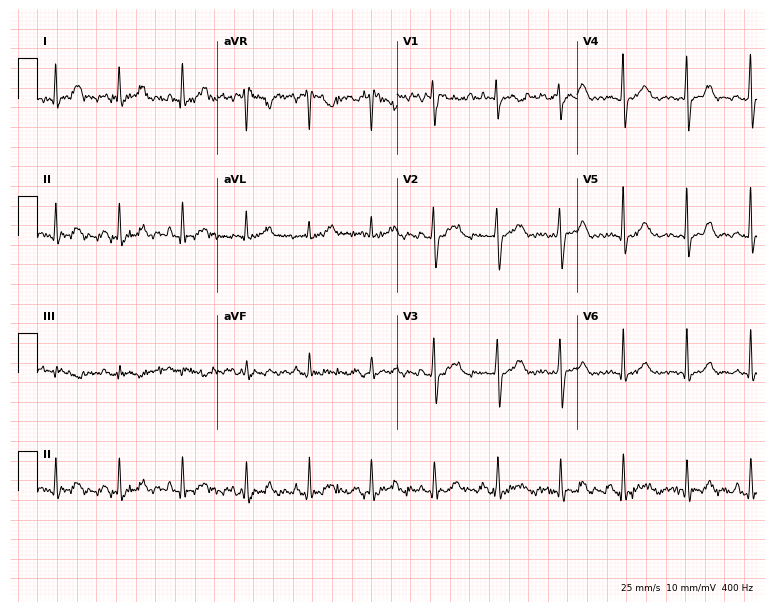
Electrocardiogram, a 37-year-old female. Of the six screened findings (first-degree AV block, right bundle branch block, left bundle branch block, sinus bradycardia, atrial fibrillation, sinus tachycardia), none is recorded. Findings outside these six are not listed.